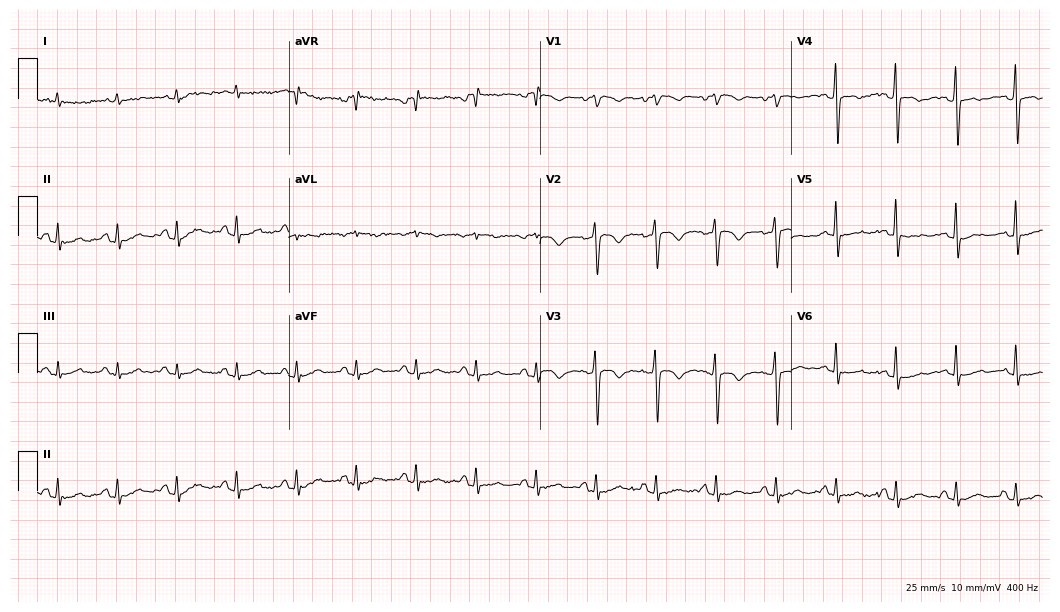
ECG — a 67-year-old female patient. Screened for six findings — first-degree AV block, right bundle branch block (RBBB), left bundle branch block (LBBB), sinus bradycardia, atrial fibrillation (AF), sinus tachycardia — none is recorded.